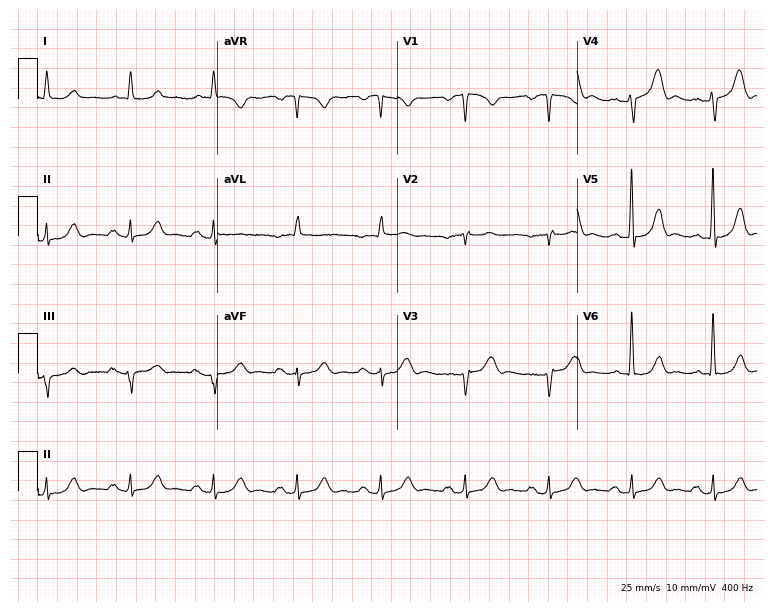
Standard 12-lead ECG recorded from a male patient, 81 years old (7.3-second recording at 400 Hz). Read as a normal ECG.